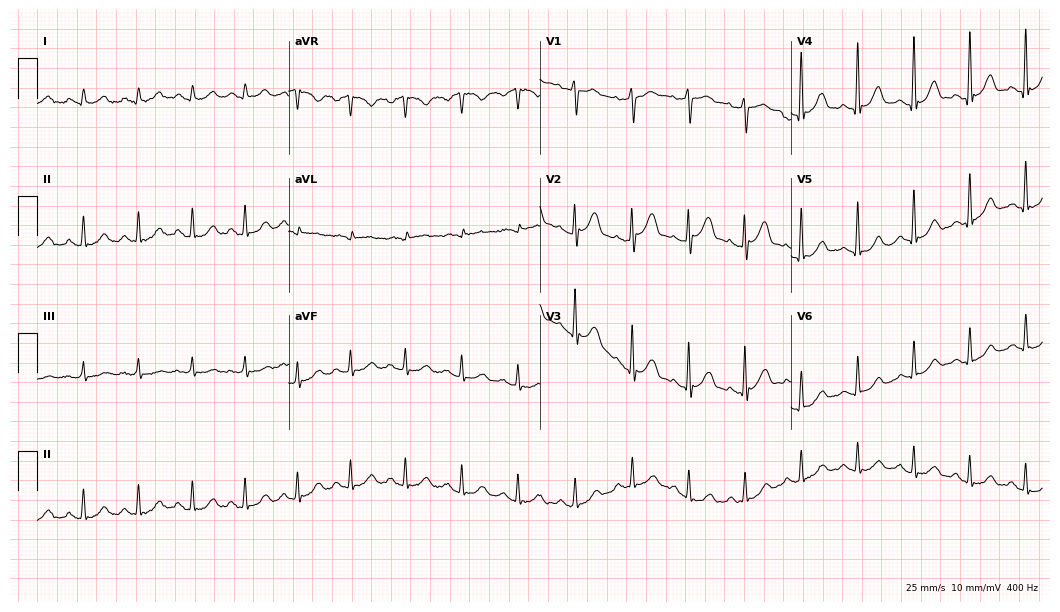
Resting 12-lead electrocardiogram. Patient: a male, 47 years old. None of these six findings is recorded: first-degree AV block, right bundle branch block, left bundle branch block, sinus bradycardia, atrial fibrillation, sinus tachycardia. Other findings, if any, are not listed.